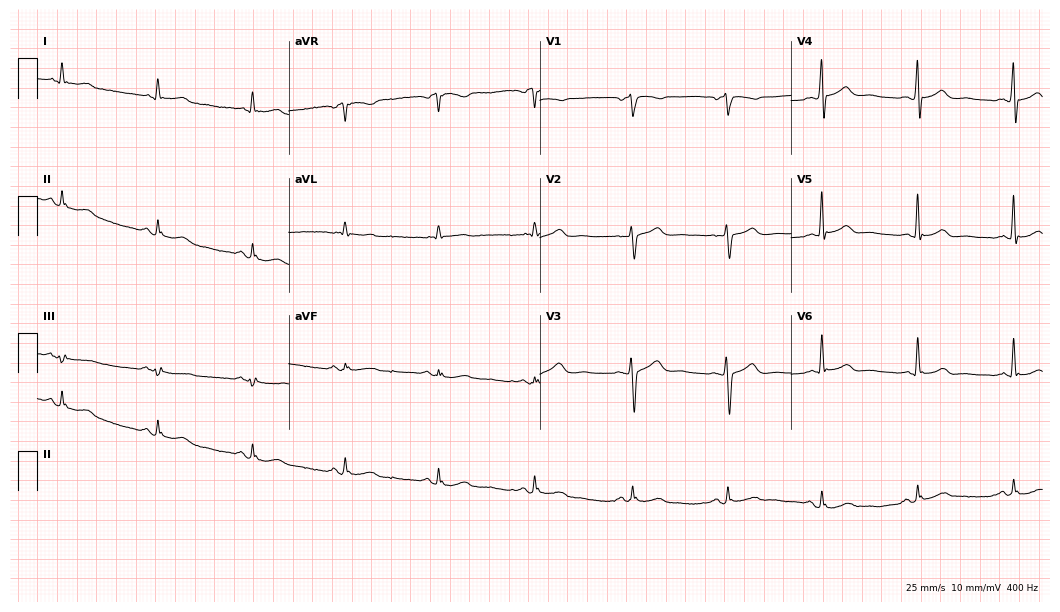
Electrocardiogram, a man, 60 years old. Of the six screened findings (first-degree AV block, right bundle branch block (RBBB), left bundle branch block (LBBB), sinus bradycardia, atrial fibrillation (AF), sinus tachycardia), none is recorded. Other findings, if any, are not listed.